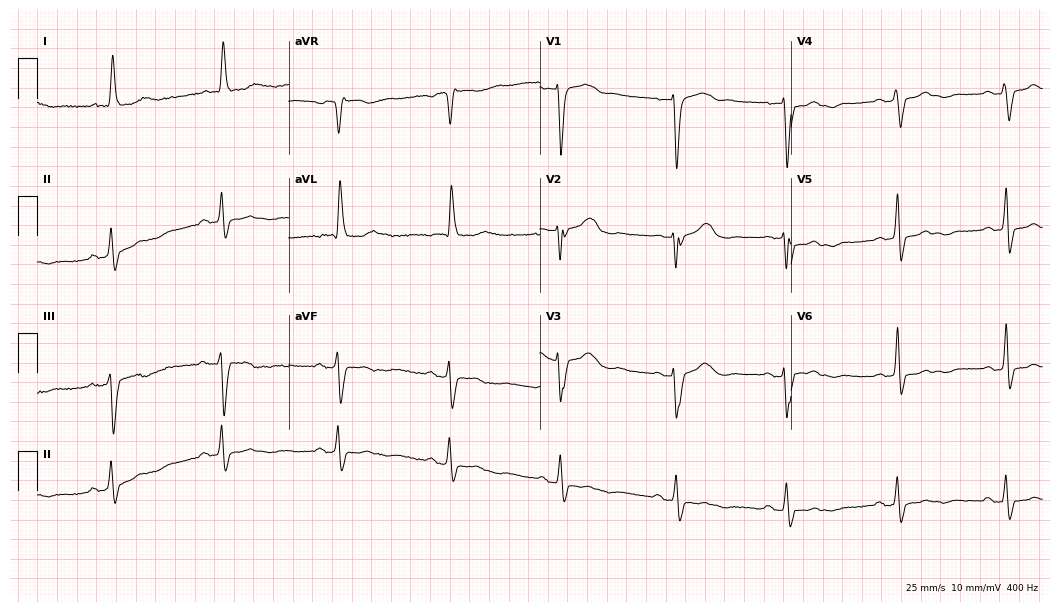
Electrocardiogram, a female, 86 years old. Interpretation includes left bundle branch block.